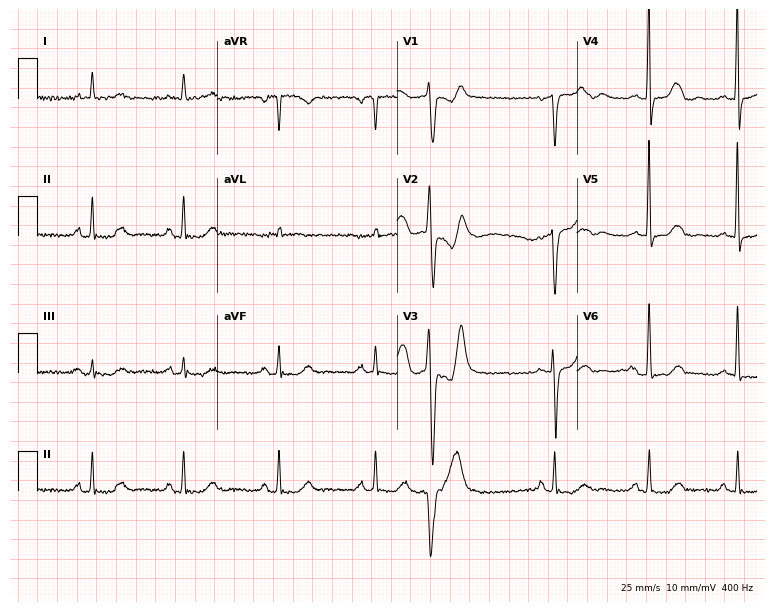
Resting 12-lead electrocardiogram. Patient: a 77-year-old female. None of these six findings is recorded: first-degree AV block, right bundle branch block (RBBB), left bundle branch block (LBBB), sinus bradycardia, atrial fibrillation (AF), sinus tachycardia.